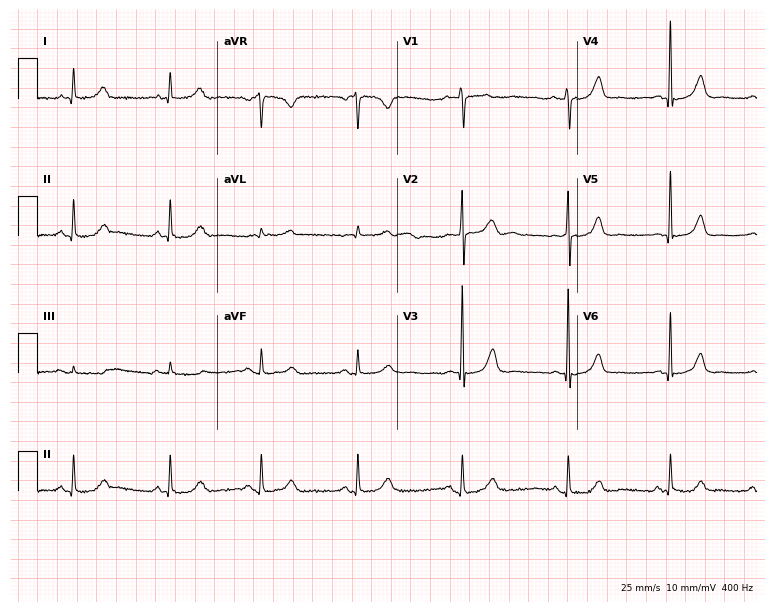
ECG (7.3-second recording at 400 Hz) — a female patient, 52 years old. Labelled as a normal ECG.